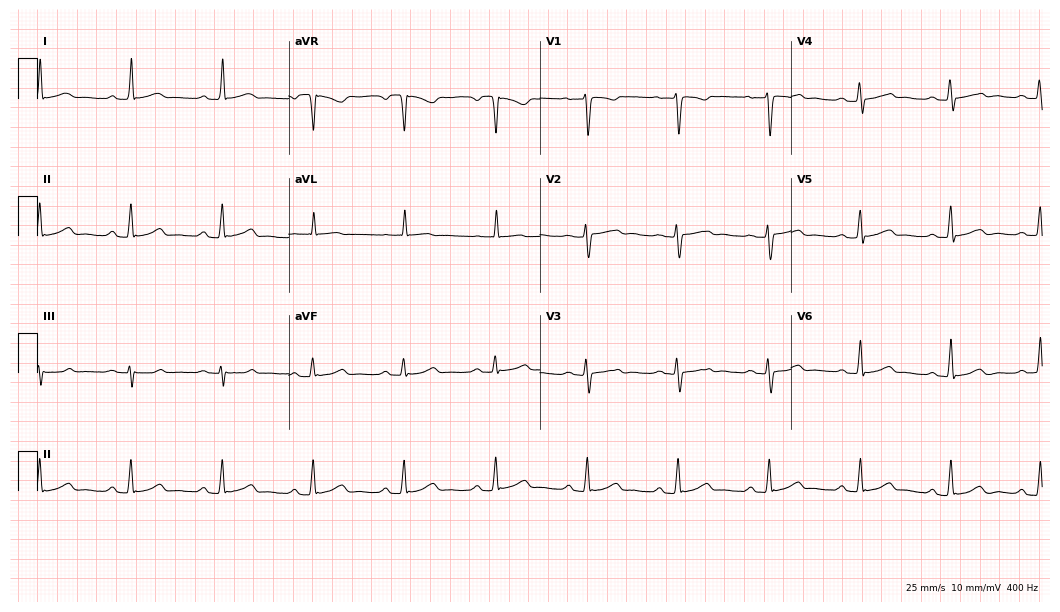
ECG (10.2-second recording at 400 Hz) — a female patient, 58 years old. Labelled as a normal ECG.